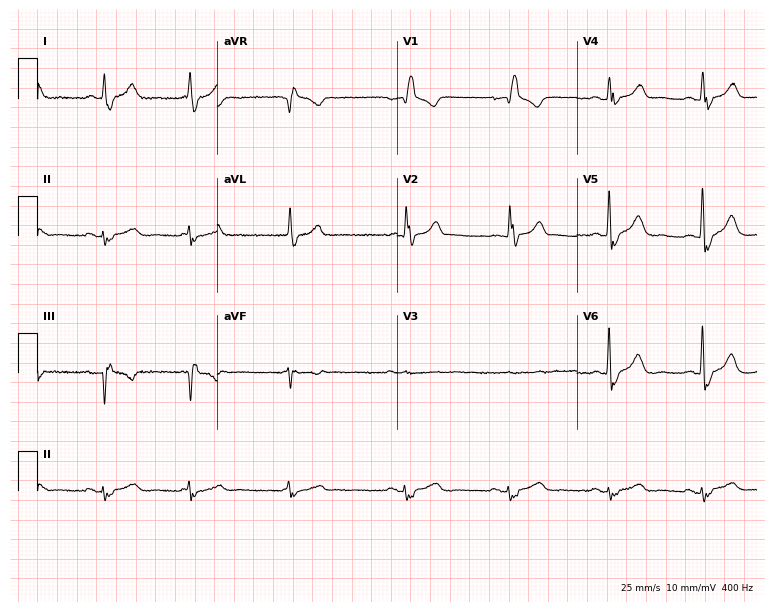
Standard 12-lead ECG recorded from a 74-year-old female (7.3-second recording at 400 Hz). The tracing shows right bundle branch block, atrial fibrillation.